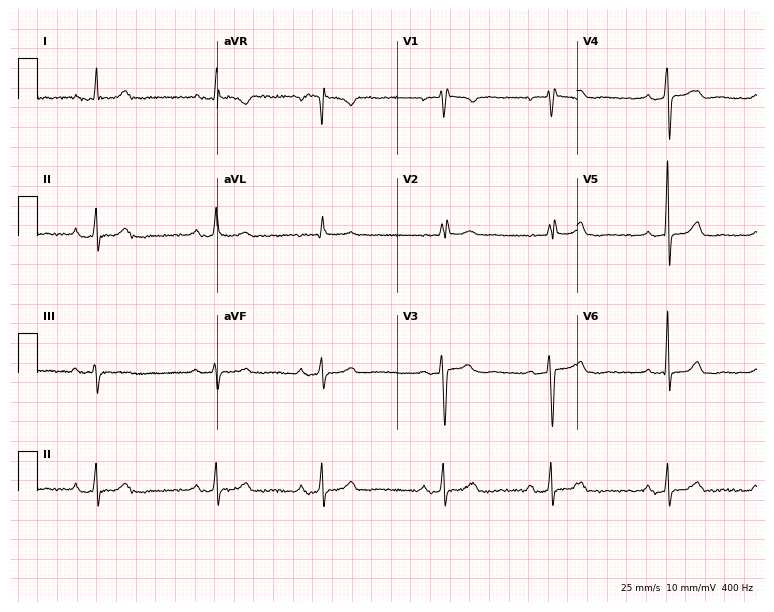
Electrocardiogram, a 53-year-old female. Interpretation includes first-degree AV block.